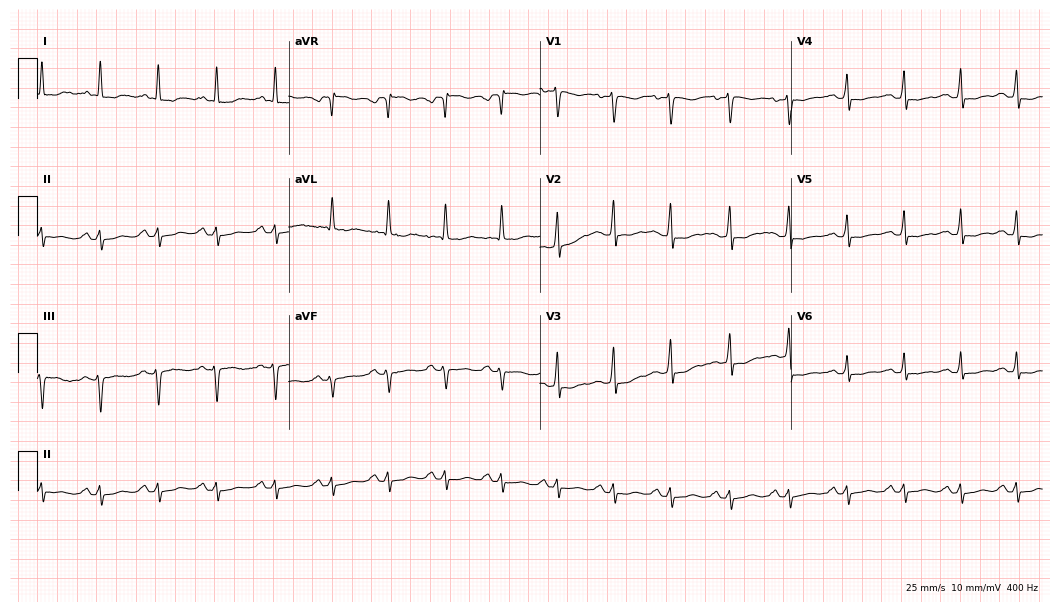
ECG (10.2-second recording at 400 Hz) — a female patient, 43 years old. Findings include sinus tachycardia (a sinus rate of 100 beats per minute or more).